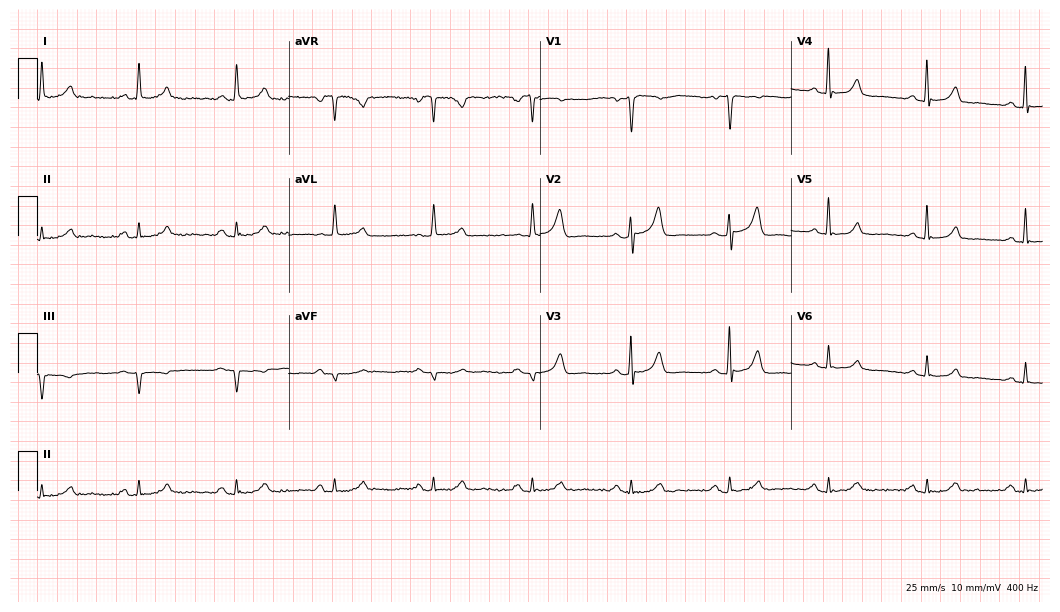
Standard 12-lead ECG recorded from a 66-year-old male (10.2-second recording at 400 Hz). None of these six findings is recorded: first-degree AV block, right bundle branch block (RBBB), left bundle branch block (LBBB), sinus bradycardia, atrial fibrillation (AF), sinus tachycardia.